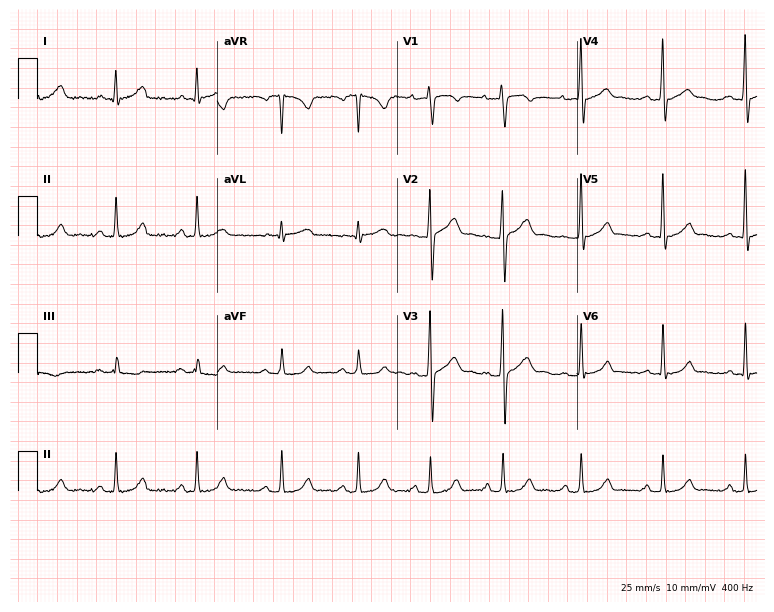
12-lead ECG from a male, 26 years old. Recorded interpretation: within normal limits.